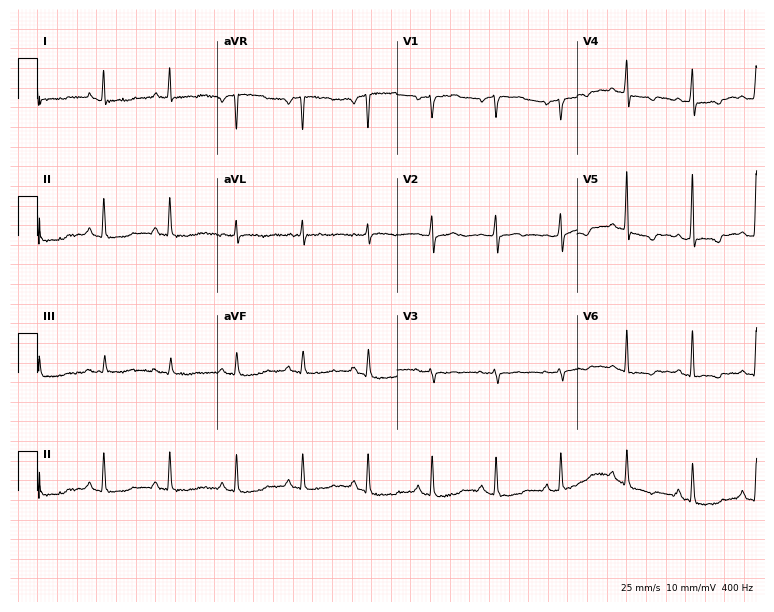
ECG (7.3-second recording at 400 Hz) — a female patient, 64 years old. Screened for six findings — first-degree AV block, right bundle branch block, left bundle branch block, sinus bradycardia, atrial fibrillation, sinus tachycardia — none is recorded.